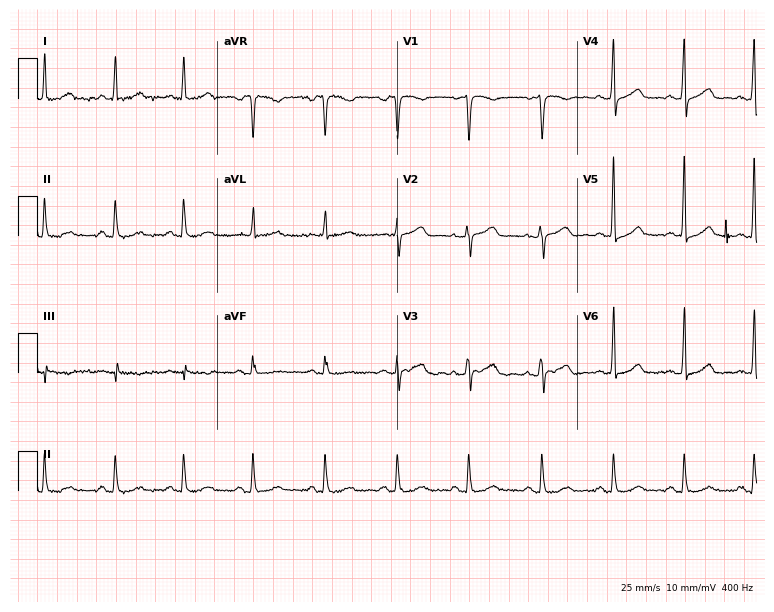
Standard 12-lead ECG recorded from a 48-year-old female. None of these six findings is recorded: first-degree AV block, right bundle branch block, left bundle branch block, sinus bradycardia, atrial fibrillation, sinus tachycardia.